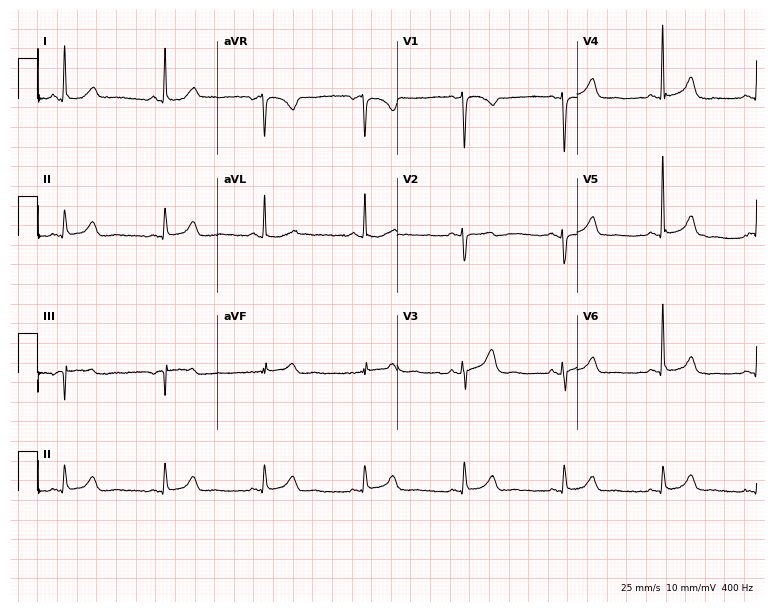
12-lead ECG from a 71-year-old woman (7.3-second recording at 400 Hz). Recorded interpretation: within normal limits.